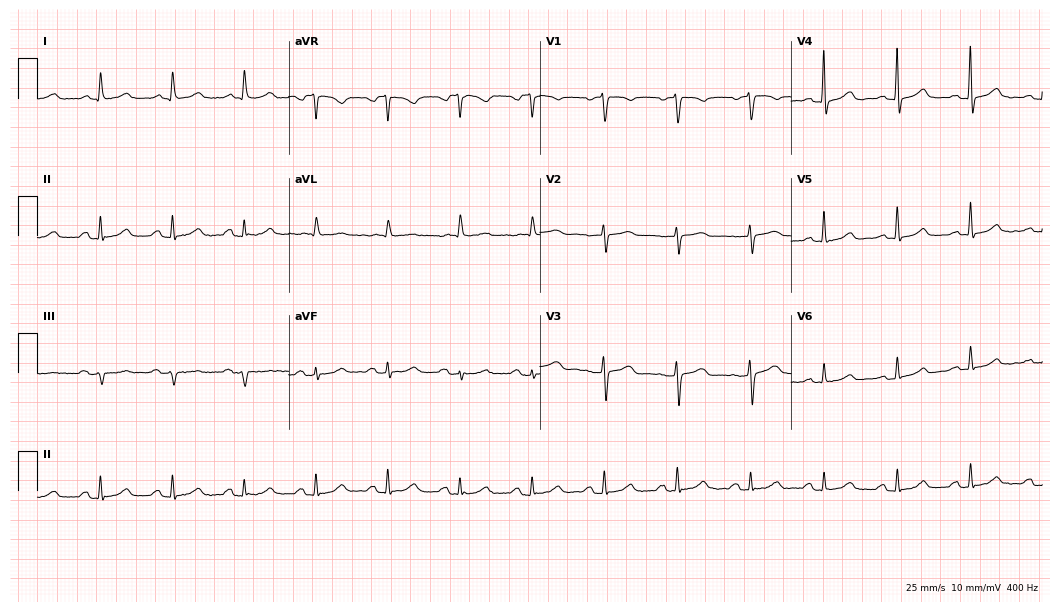
12-lead ECG from a 26-year-old male patient. Recorded interpretation: within normal limits.